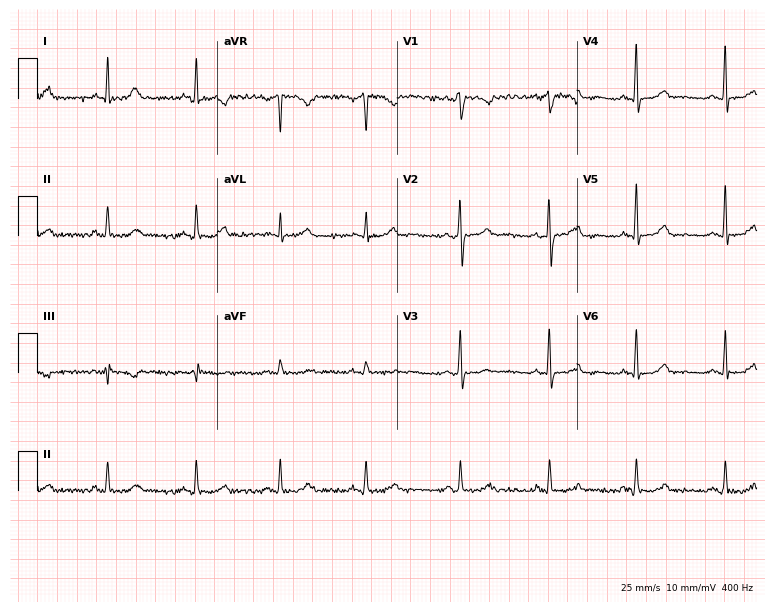
ECG — a 47-year-old female. Labelled as a normal ECG.